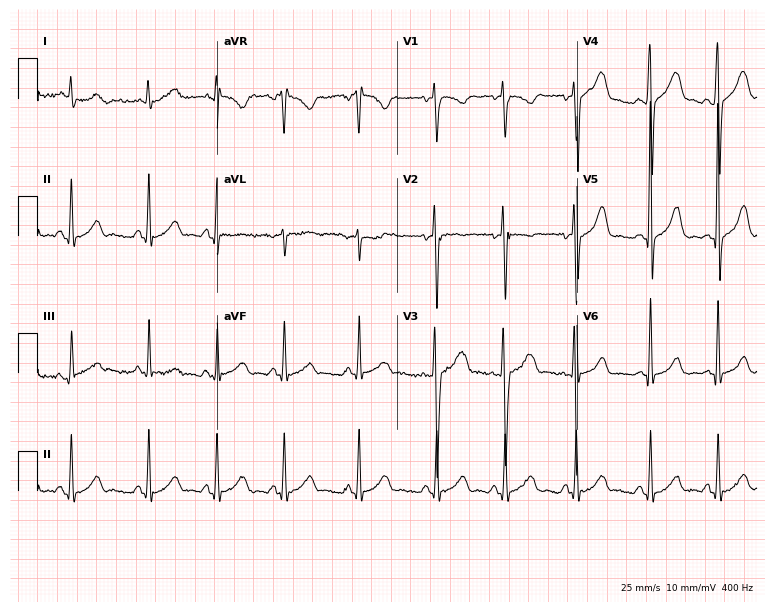
Resting 12-lead electrocardiogram. Patient: a 17-year-old male. None of these six findings is recorded: first-degree AV block, right bundle branch block, left bundle branch block, sinus bradycardia, atrial fibrillation, sinus tachycardia.